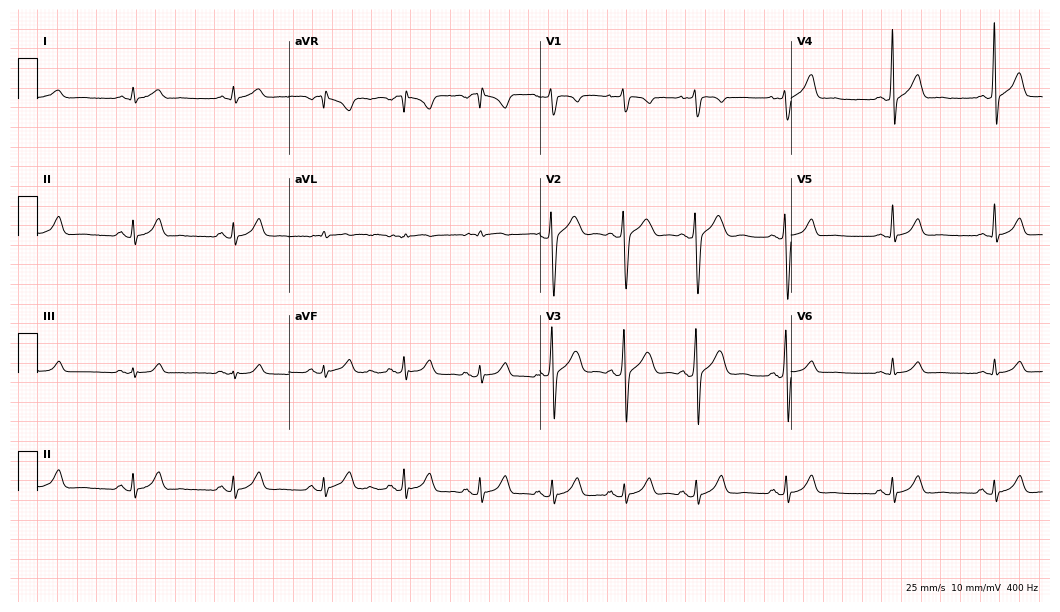
ECG (10.2-second recording at 400 Hz) — a male, 30 years old. Labelled as a normal ECG.